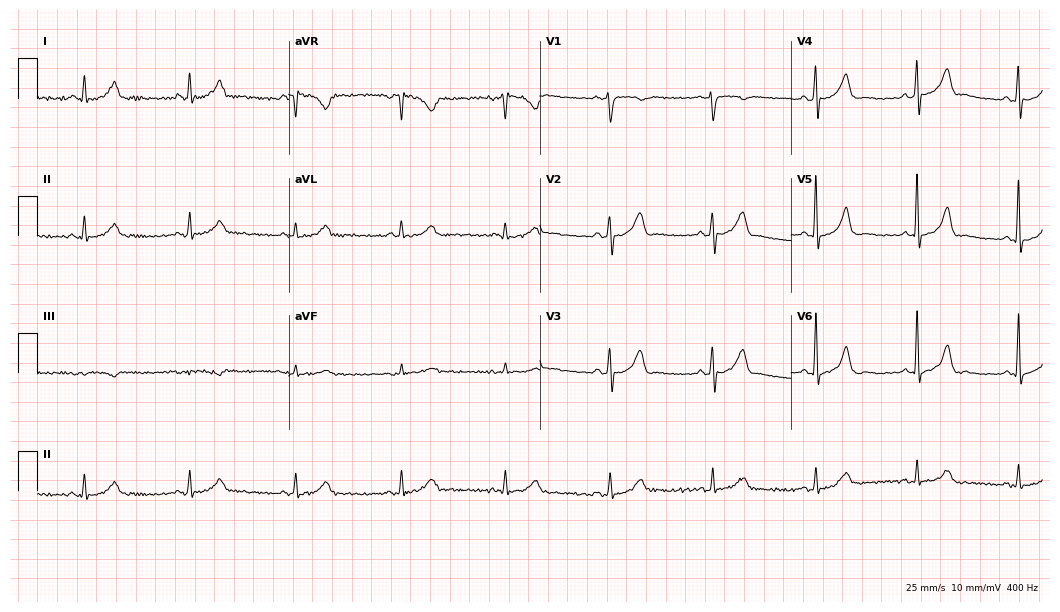
ECG (10.2-second recording at 400 Hz) — a male patient, 51 years old. Screened for six findings — first-degree AV block, right bundle branch block, left bundle branch block, sinus bradycardia, atrial fibrillation, sinus tachycardia — none is recorded. Other findings, if any, are not listed.